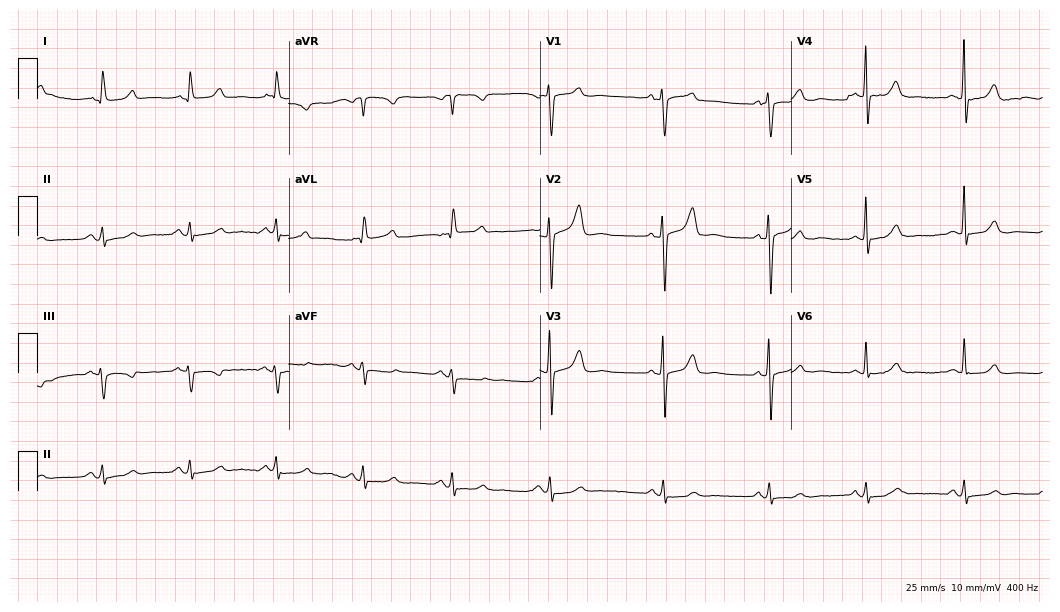
Resting 12-lead electrocardiogram (10.2-second recording at 400 Hz). Patient: a 69-year-old female. Read as a normal ECG.